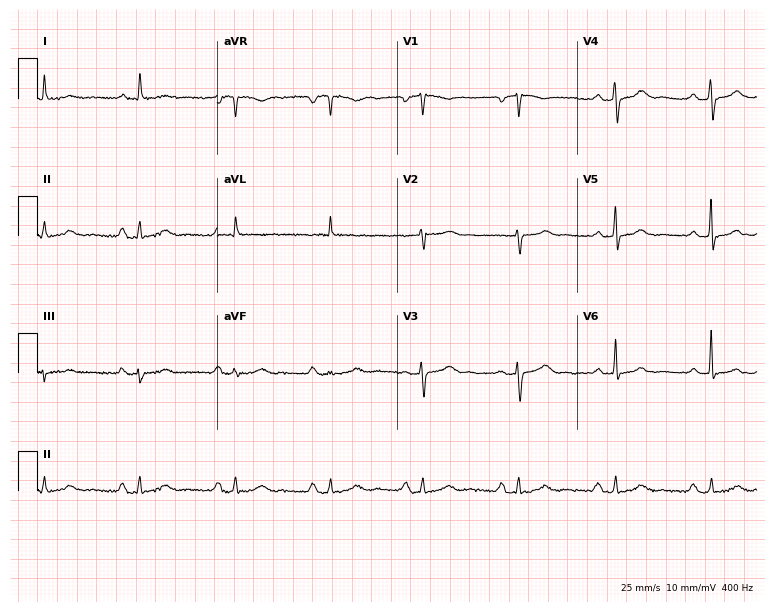
Resting 12-lead electrocardiogram. Patient: a female, 69 years old. The tracing shows first-degree AV block.